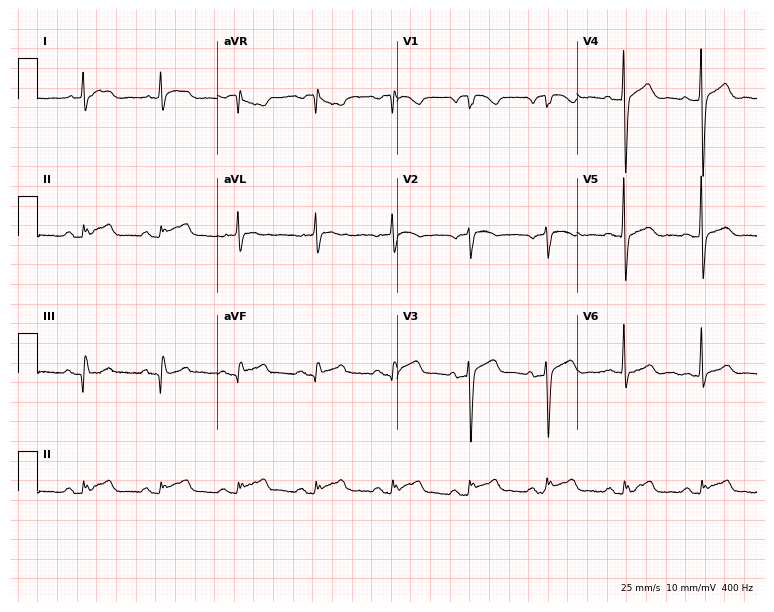
ECG — a female, 74 years old. Screened for six findings — first-degree AV block, right bundle branch block (RBBB), left bundle branch block (LBBB), sinus bradycardia, atrial fibrillation (AF), sinus tachycardia — none is recorded. Findings outside these six are not listed.